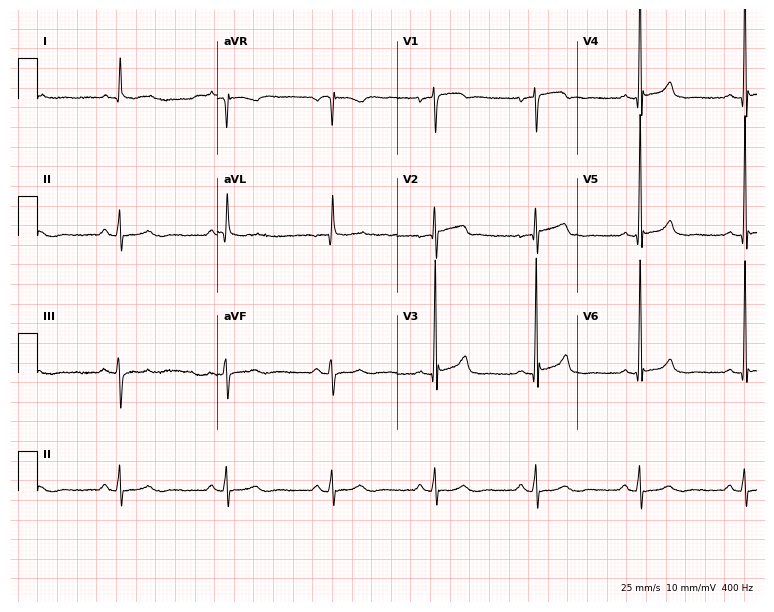
ECG (7.3-second recording at 400 Hz) — a 67-year-old male. Screened for six findings — first-degree AV block, right bundle branch block, left bundle branch block, sinus bradycardia, atrial fibrillation, sinus tachycardia — none is recorded. Findings outside these six are not listed.